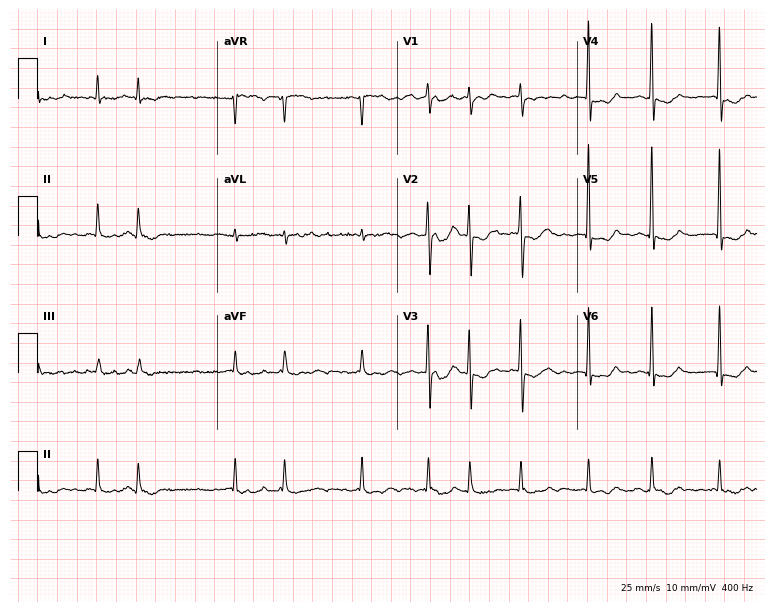
12-lead ECG from an 83-year-old female patient. Findings include atrial fibrillation.